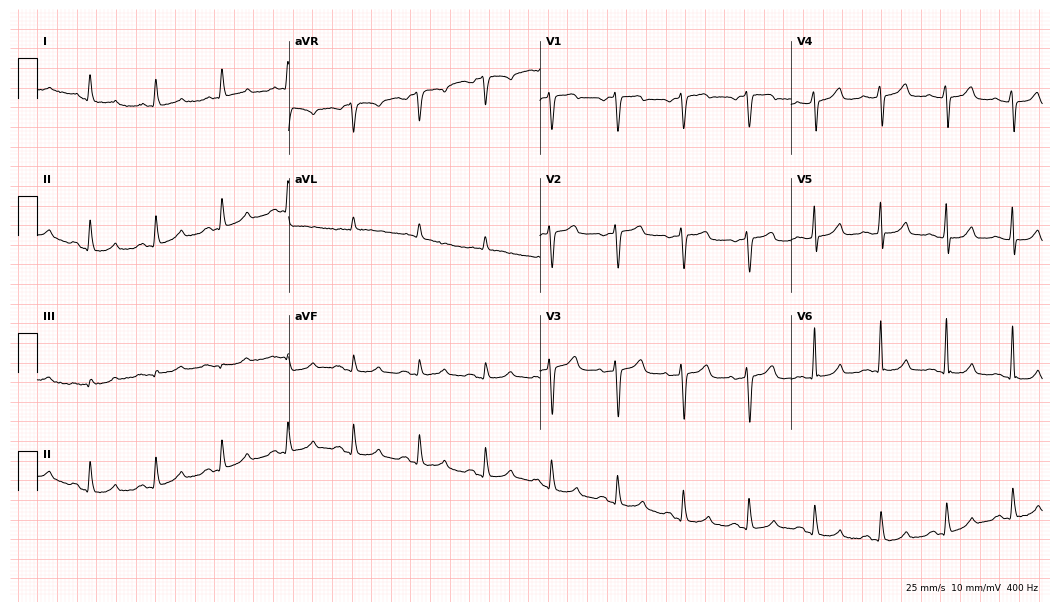
12-lead ECG (10.2-second recording at 400 Hz) from a woman, 70 years old. Labelled as a normal ECG.